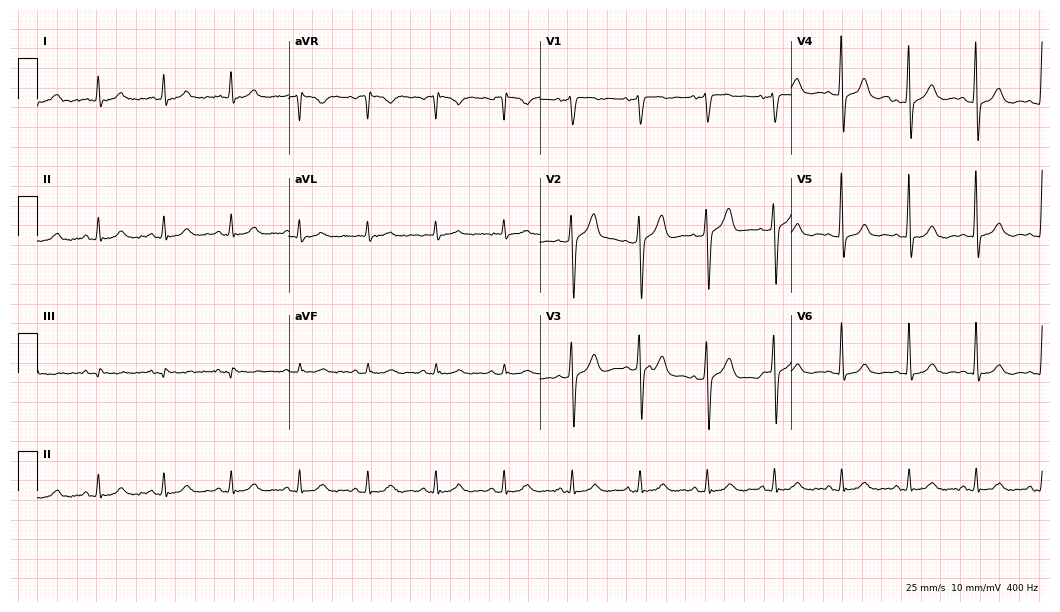
Standard 12-lead ECG recorded from a male, 64 years old (10.2-second recording at 400 Hz). Read as a normal ECG.